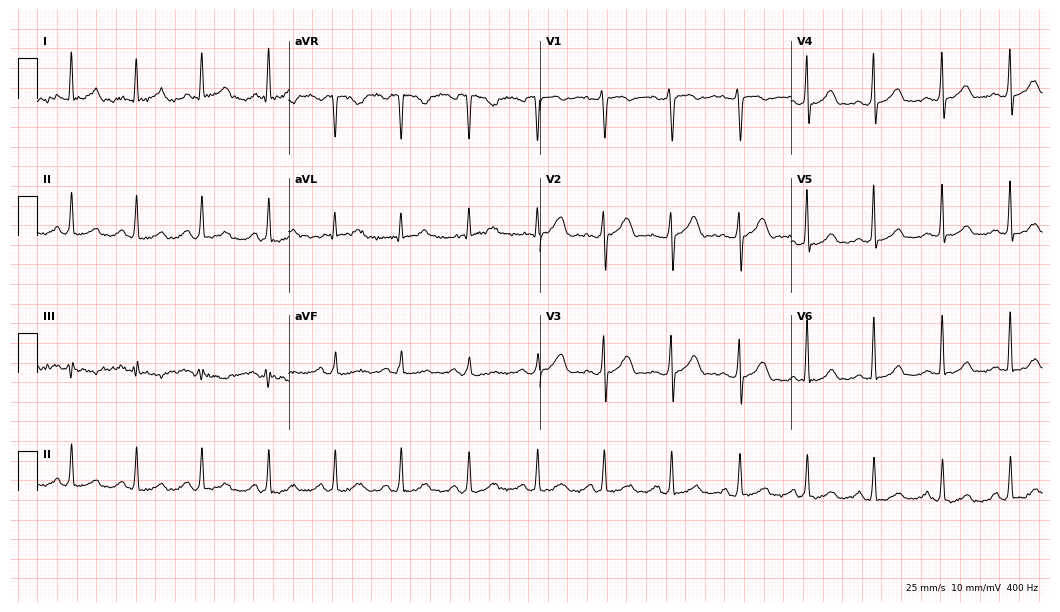
Electrocardiogram, a woman, 29 years old. Overall reading on record: normal ECG.